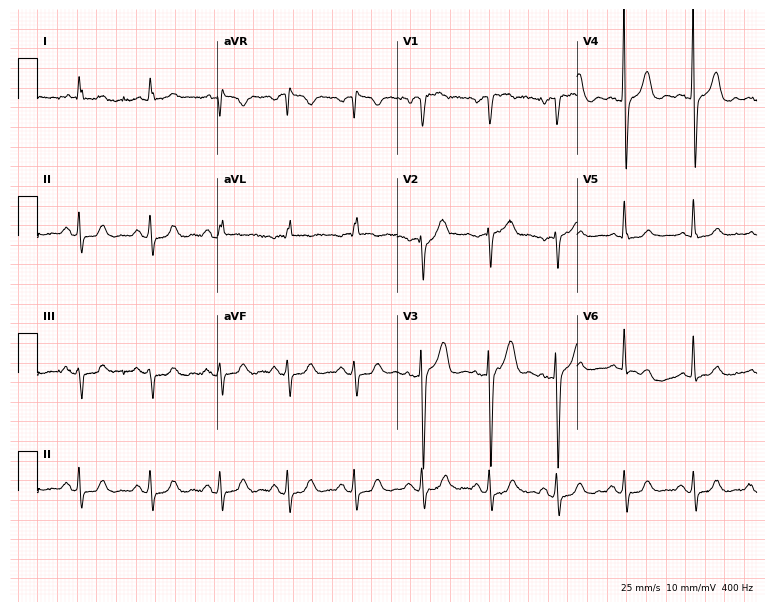
Standard 12-lead ECG recorded from a male, 69 years old. None of these six findings is recorded: first-degree AV block, right bundle branch block, left bundle branch block, sinus bradycardia, atrial fibrillation, sinus tachycardia.